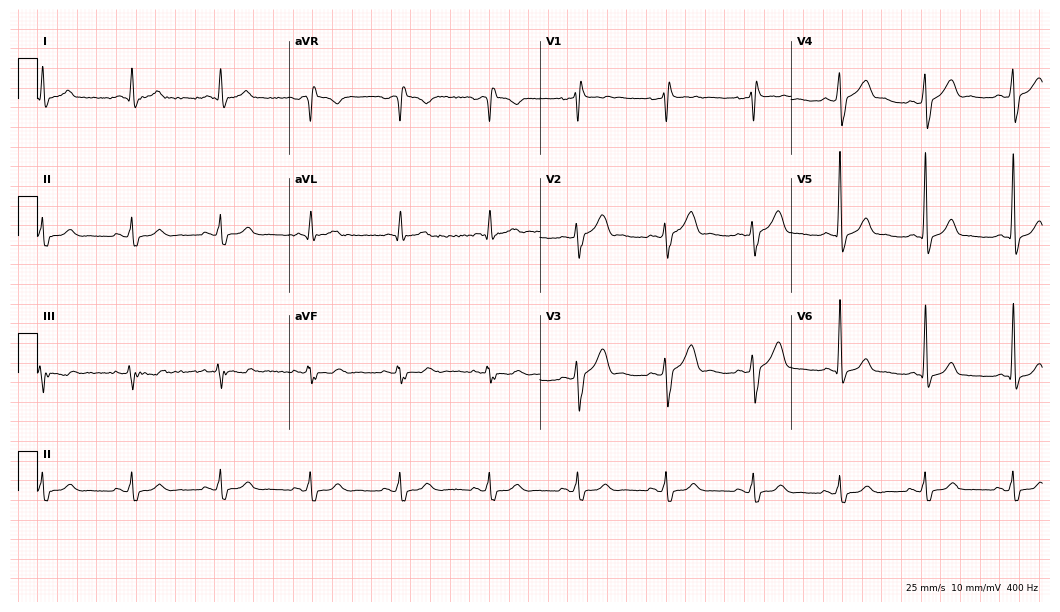
ECG — a man, 46 years old. Findings include right bundle branch block (RBBB).